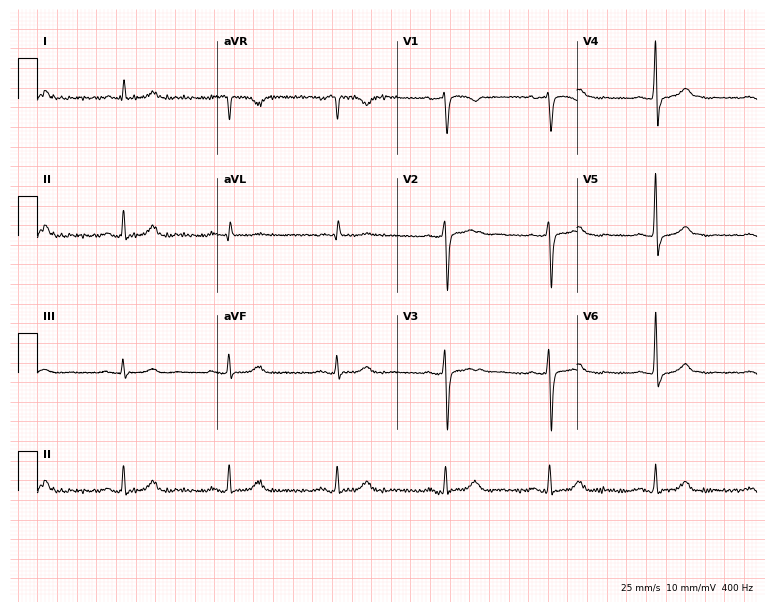
12-lead ECG from a 66-year-old female. No first-degree AV block, right bundle branch block, left bundle branch block, sinus bradycardia, atrial fibrillation or sinus tachycardia recorded for this tracing.